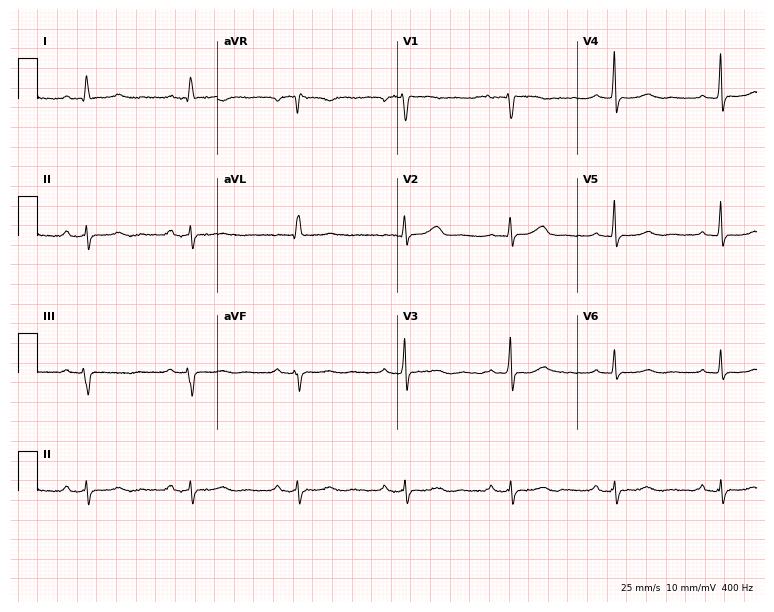
Standard 12-lead ECG recorded from a 57-year-old female. Read as a normal ECG.